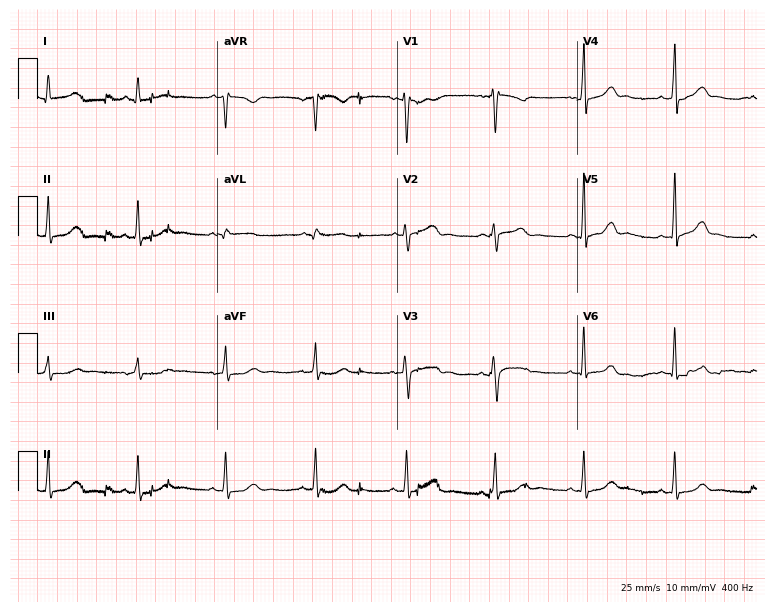
12-lead ECG from a 29-year-old female. Labelled as a normal ECG.